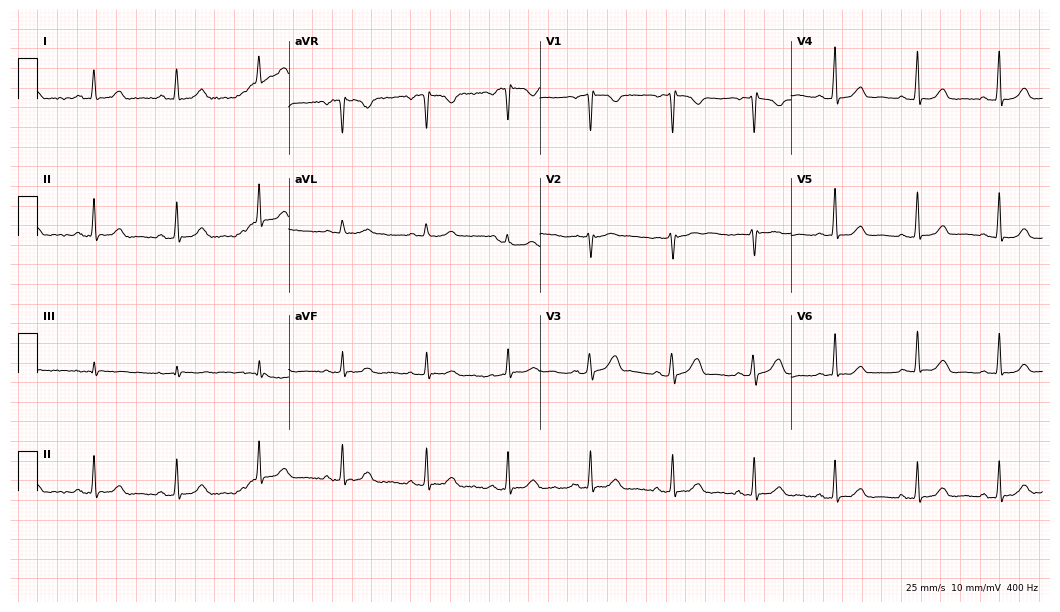
Resting 12-lead electrocardiogram (10.2-second recording at 400 Hz). Patient: a 40-year-old female. Read as a normal ECG.